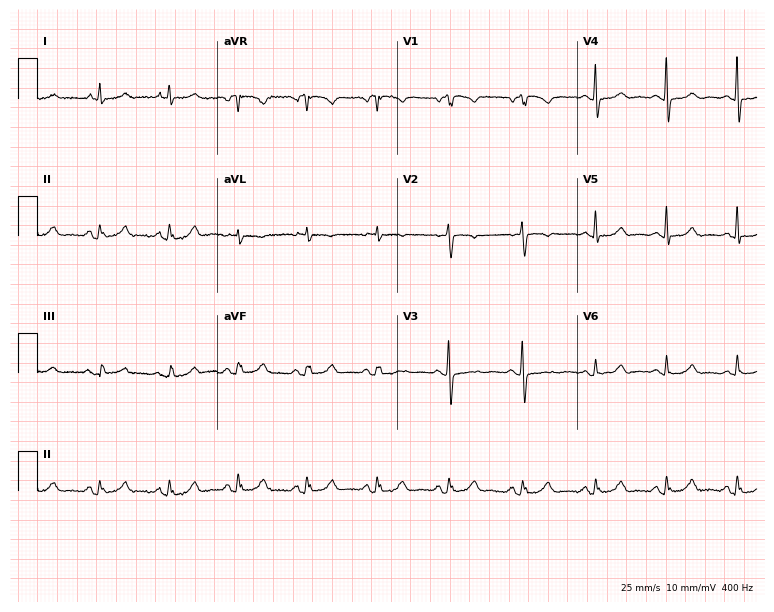
Electrocardiogram, a woman, 57 years old. Of the six screened findings (first-degree AV block, right bundle branch block (RBBB), left bundle branch block (LBBB), sinus bradycardia, atrial fibrillation (AF), sinus tachycardia), none is recorded. Findings outside these six are not listed.